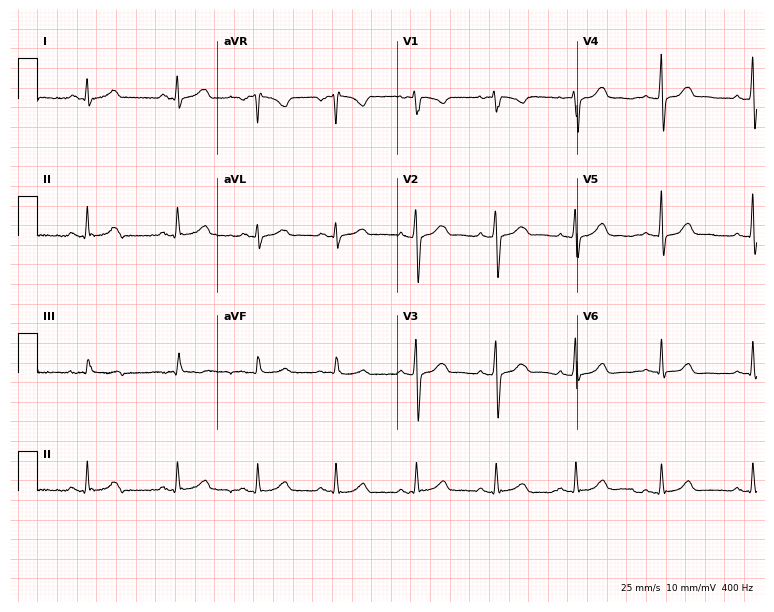
12-lead ECG from a woman, 47 years old (7.3-second recording at 400 Hz). Recorded interpretation: within normal limits.